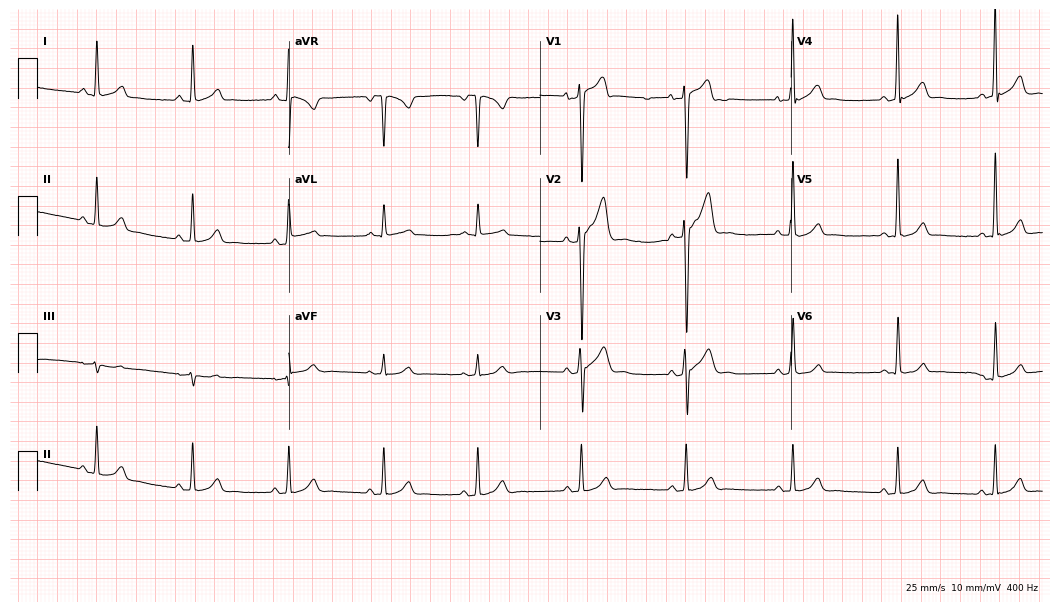
Standard 12-lead ECG recorded from a 25-year-old male patient (10.2-second recording at 400 Hz). None of these six findings is recorded: first-degree AV block, right bundle branch block (RBBB), left bundle branch block (LBBB), sinus bradycardia, atrial fibrillation (AF), sinus tachycardia. Findings outside these six are not listed.